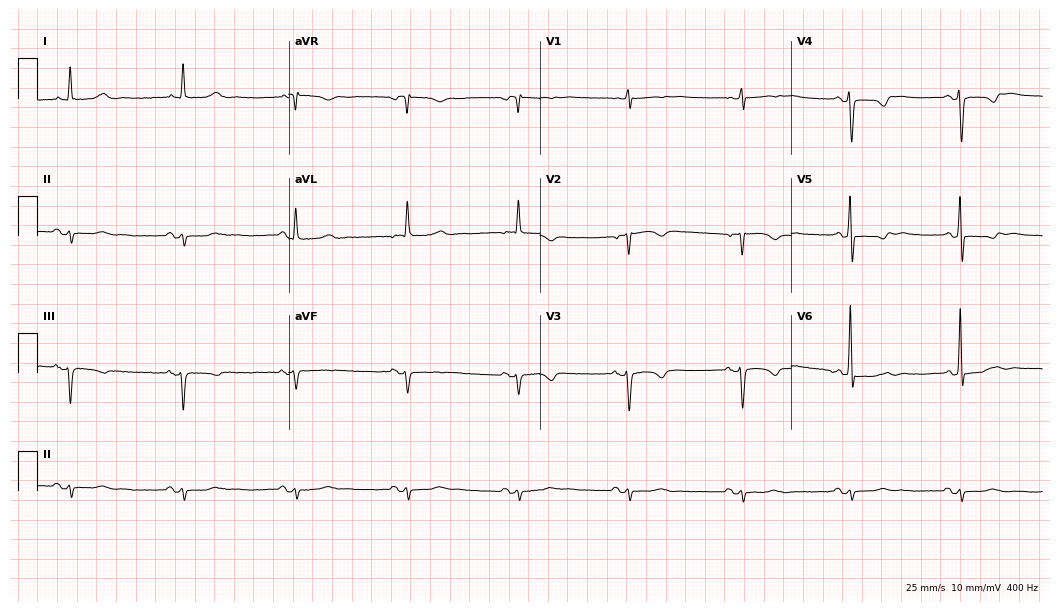
Standard 12-lead ECG recorded from a 72-year-old female (10.2-second recording at 400 Hz). None of these six findings is recorded: first-degree AV block, right bundle branch block, left bundle branch block, sinus bradycardia, atrial fibrillation, sinus tachycardia.